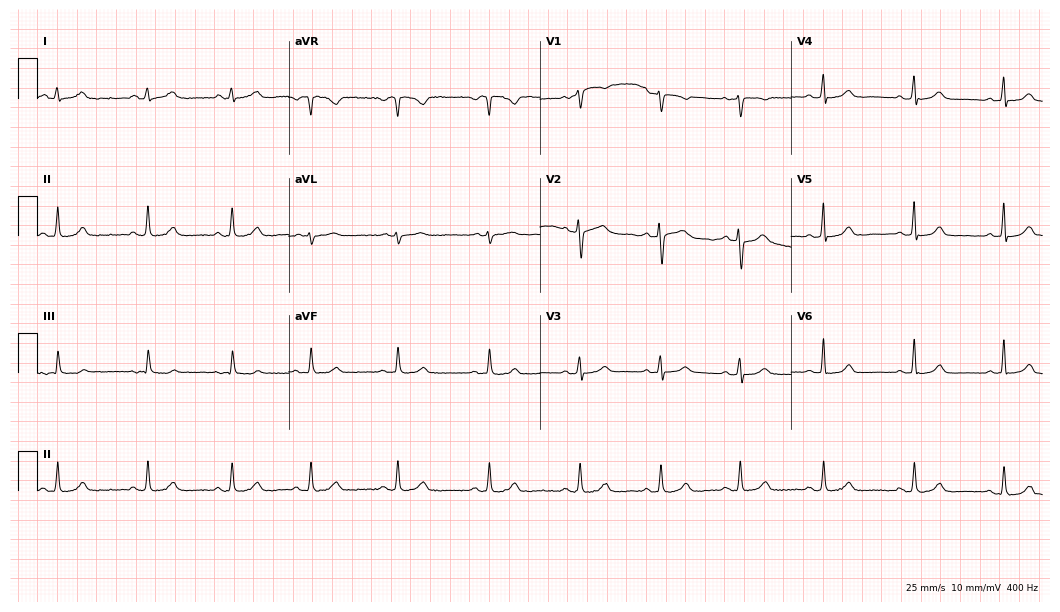
Standard 12-lead ECG recorded from a 26-year-old woman. Read as a normal ECG.